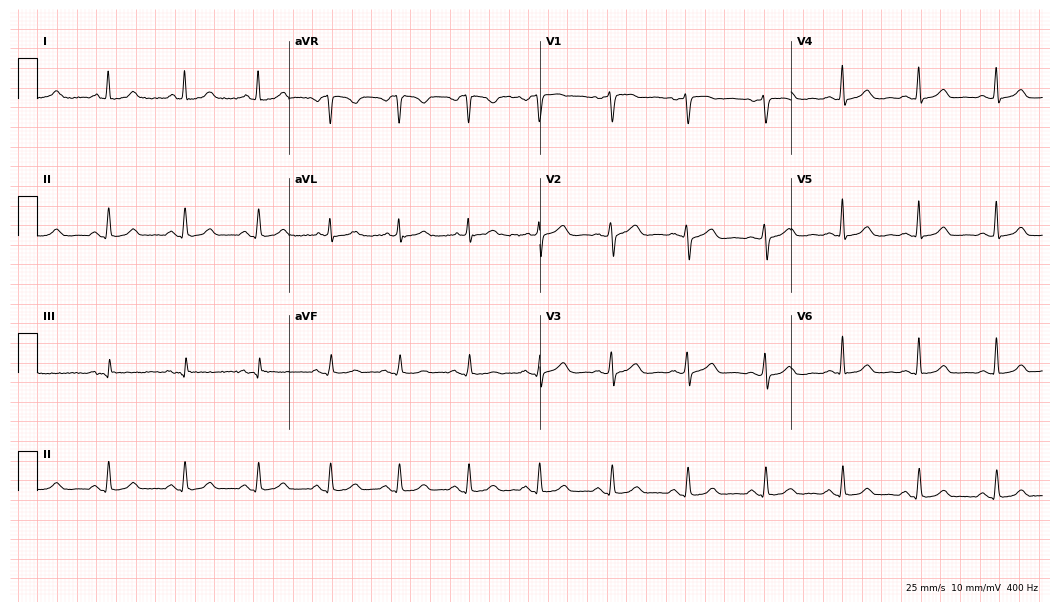
ECG (10.2-second recording at 400 Hz) — a female patient, 45 years old. Labelled as a normal ECG.